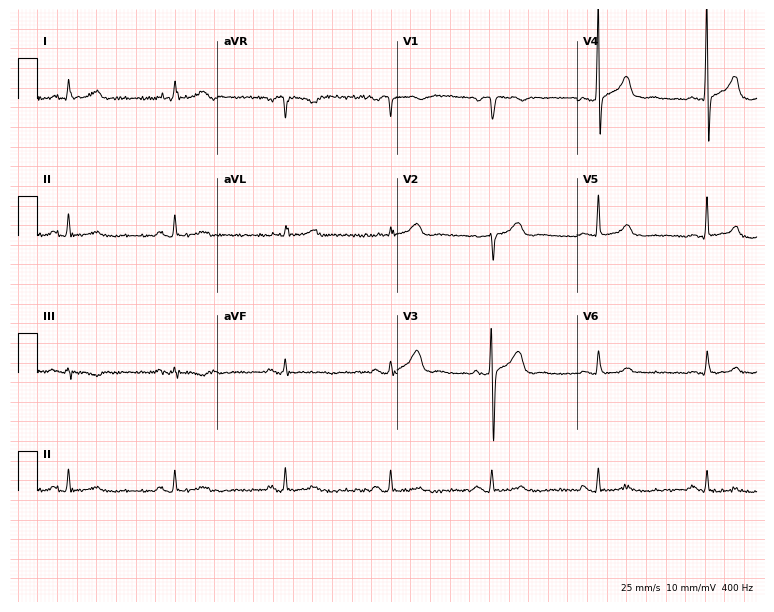
12-lead ECG from a man, 58 years old. No first-degree AV block, right bundle branch block (RBBB), left bundle branch block (LBBB), sinus bradycardia, atrial fibrillation (AF) or sinus tachycardia recorded for this tracing.